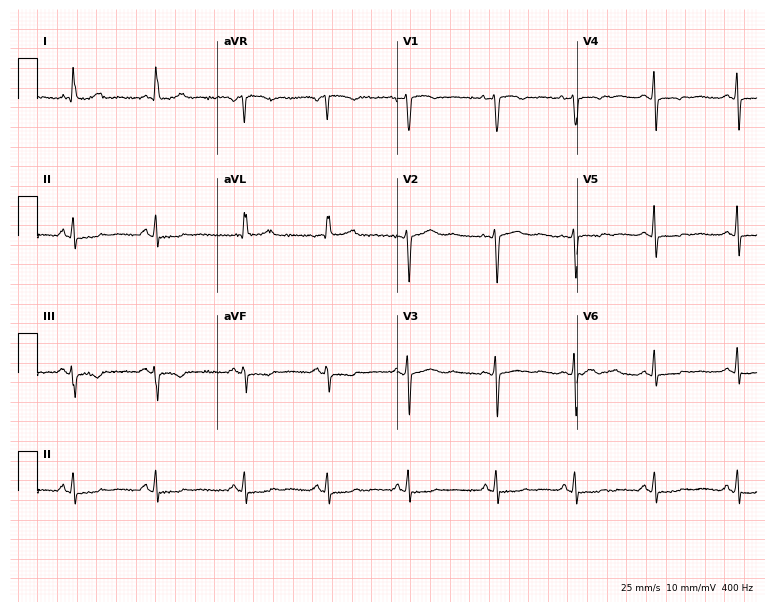
Resting 12-lead electrocardiogram. Patient: a 67-year-old female. Read as a normal ECG.